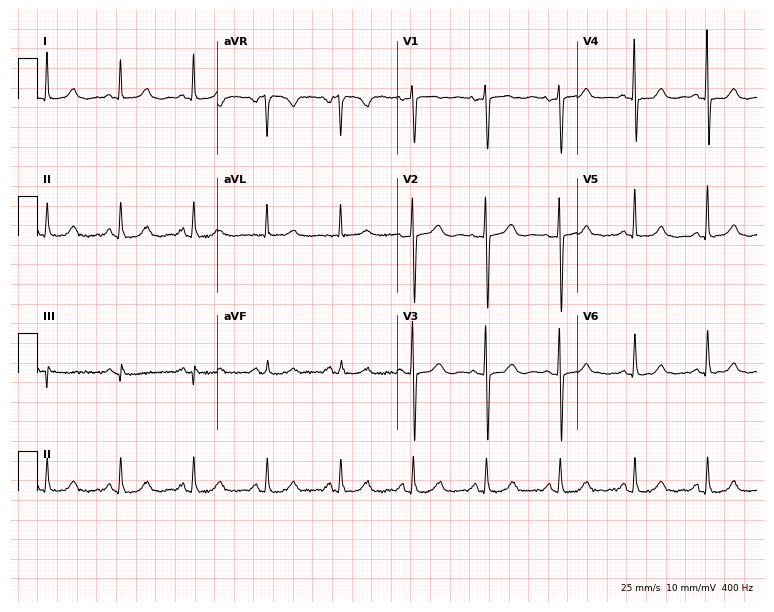
Standard 12-lead ECG recorded from a female patient, 73 years old. None of these six findings is recorded: first-degree AV block, right bundle branch block, left bundle branch block, sinus bradycardia, atrial fibrillation, sinus tachycardia.